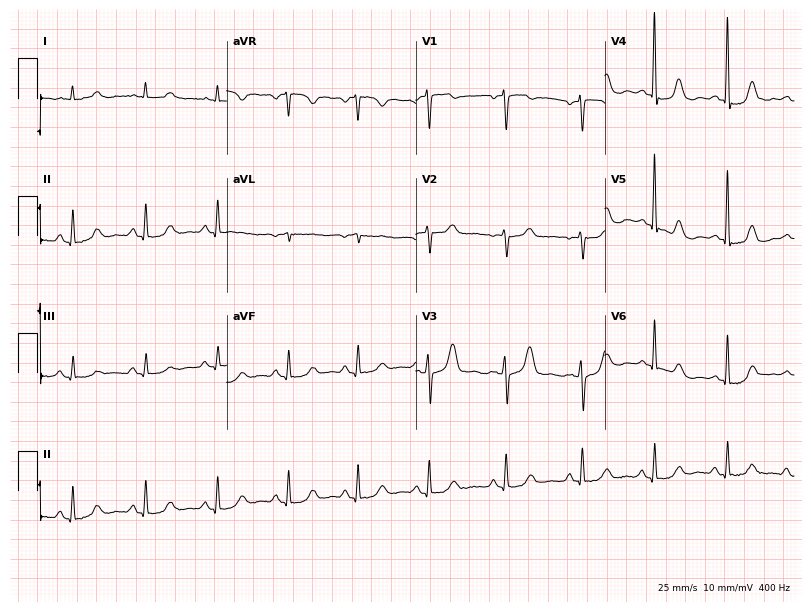
12-lead ECG from a female, 70 years old (7.7-second recording at 400 Hz). Recorded interpretation: within normal limits.